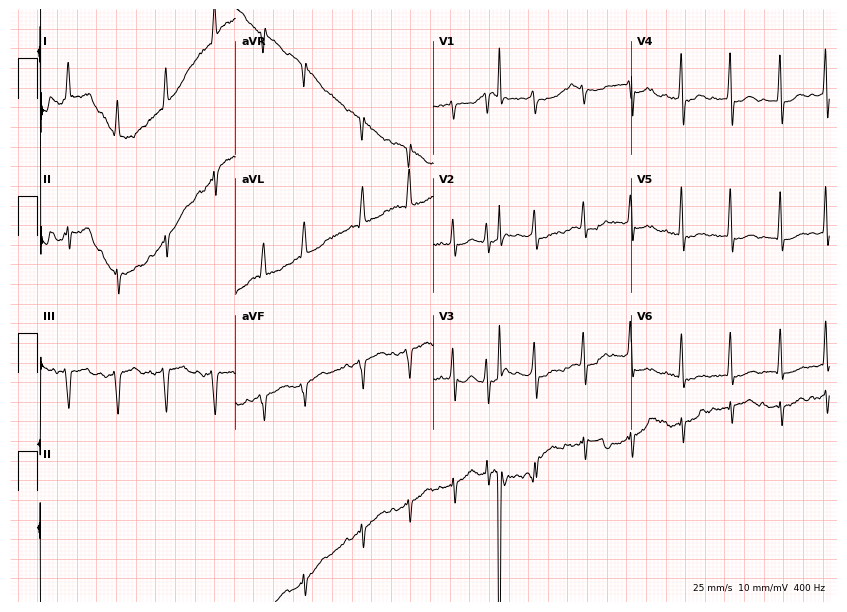
12-lead ECG from a female patient, 76 years old. Findings include atrial fibrillation, sinus tachycardia (a sinus rate of 100 beats per minute or more).